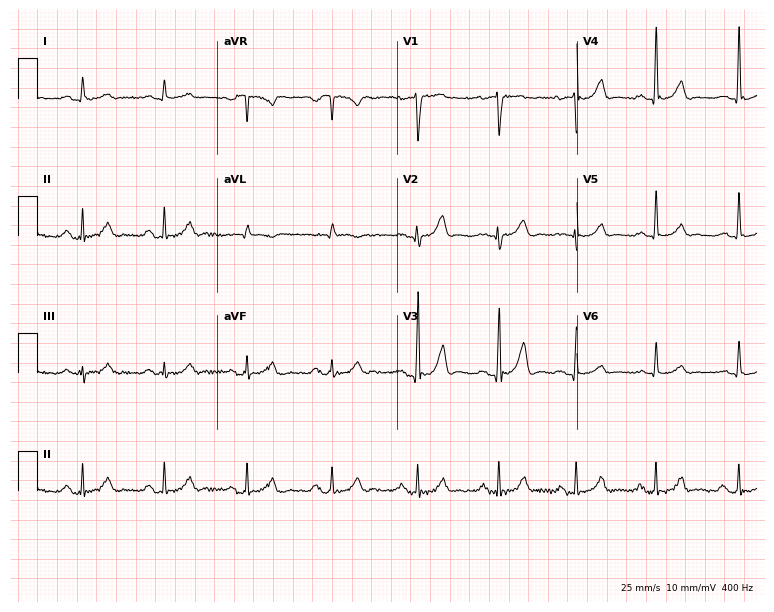
Electrocardiogram (7.3-second recording at 400 Hz), a 38-year-old man. Overall reading on record: normal ECG.